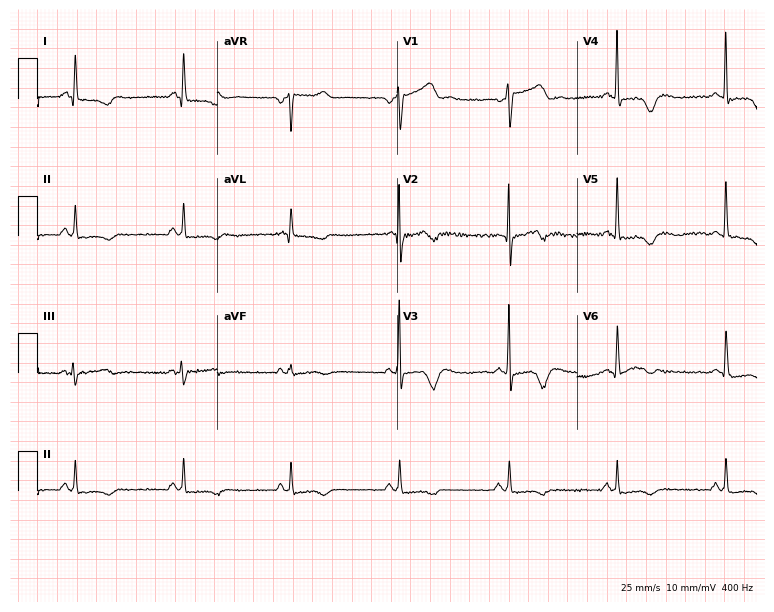
Electrocardiogram (7.3-second recording at 400 Hz), a 52-year-old man. Of the six screened findings (first-degree AV block, right bundle branch block, left bundle branch block, sinus bradycardia, atrial fibrillation, sinus tachycardia), none is recorded. Findings outside these six are not listed.